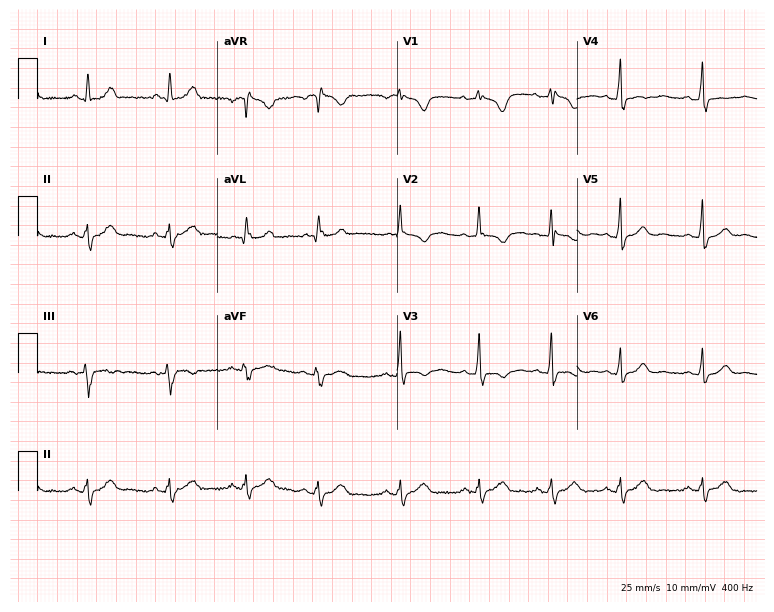
12-lead ECG from a woman, 38 years old. Screened for six findings — first-degree AV block, right bundle branch block (RBBB), left bundle branch block (LBBB), sinus bradycardia, atrial fibrillation (AF), sinus tachycardia — none is recorded. Only these six findings were labelled.